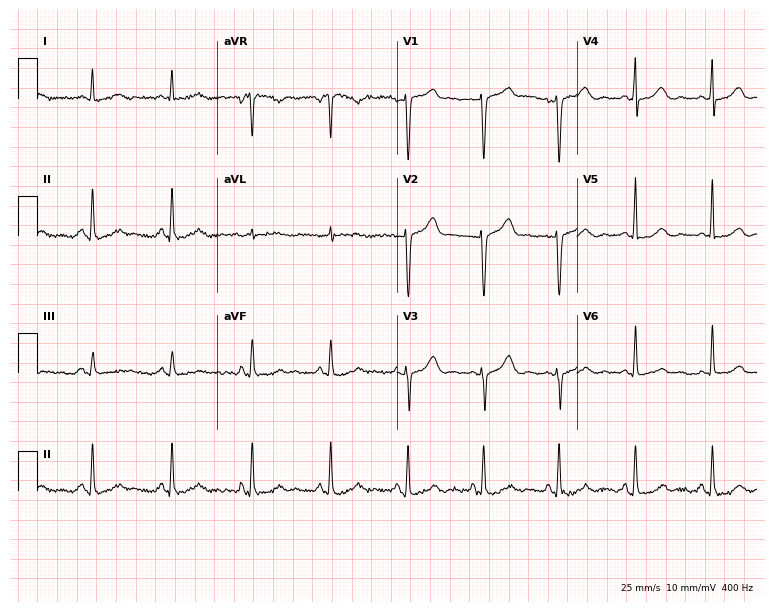
12-lead ECG from a female patient, 39 years old. Screened for six findings — first-degree AV block, right bundle branch block, left bundle branch block, sinus bradycardia, atrial fibrillation, sinus tachycardia — none is recorded. Findings outside these six are not listed.